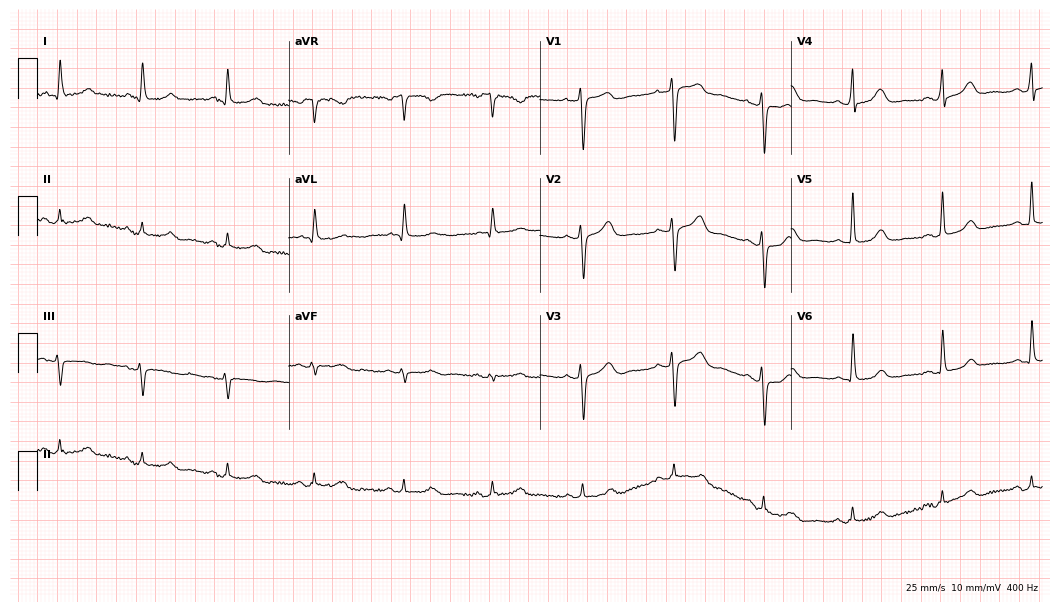
Resting 12-lead electrocardiogram. Patient: a female, 76 years old. Read as a normal ECG.